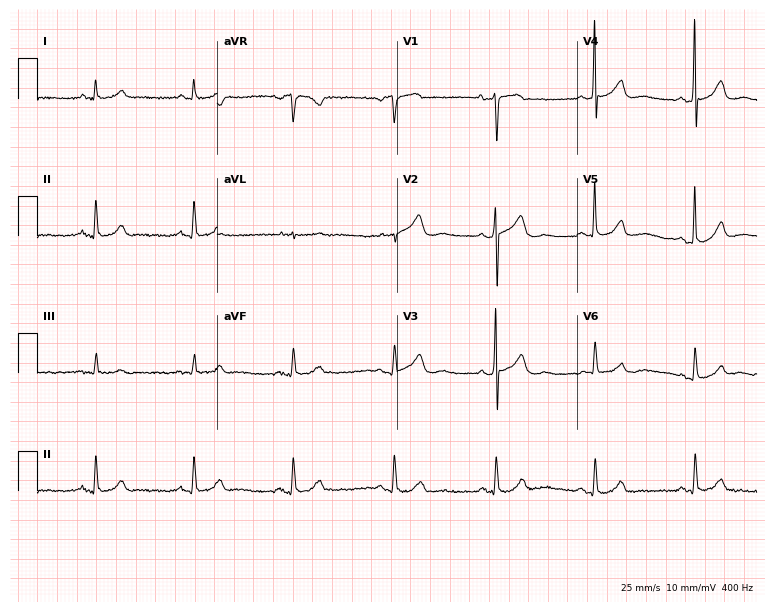
12-lead ECG from a man, 64 years old. Labelled as a normal ECG.